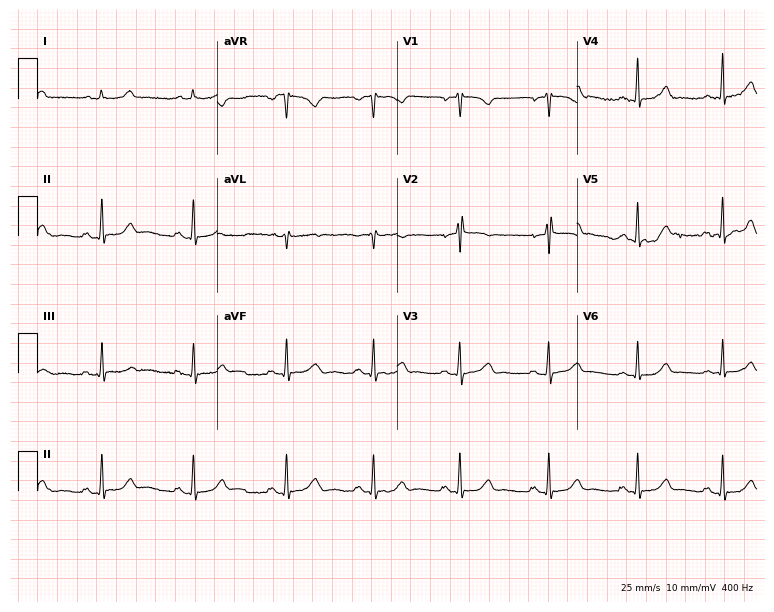
12-lead ECG from a female patient, 32 years old. Labelled as a normal ECG.